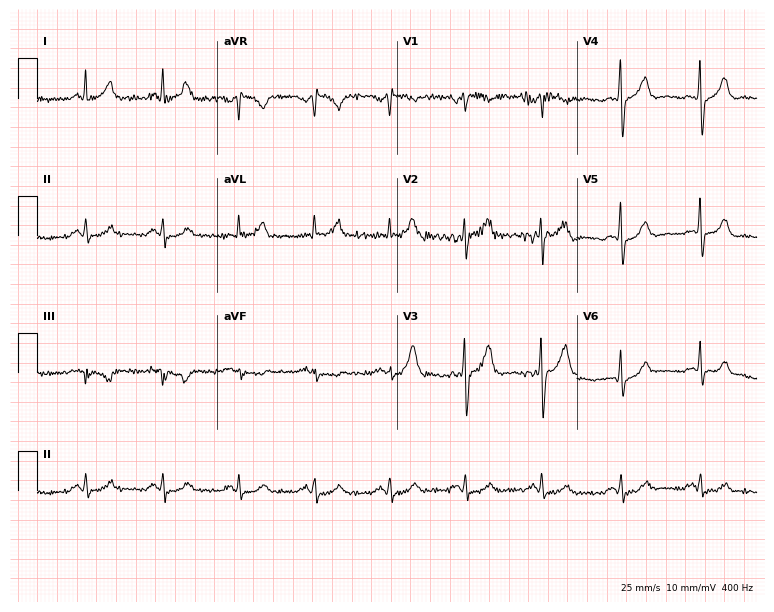
ECG (7.3-second recording at 400 Hz) — a man, 61 years old. Screened for six findings — first-degree AV block, right bundle branch block, left bundle branch block, sinus bradycardia, atrial fibrillation, sinus tachycardia — none is recorded. Findings outside these six are not listed.